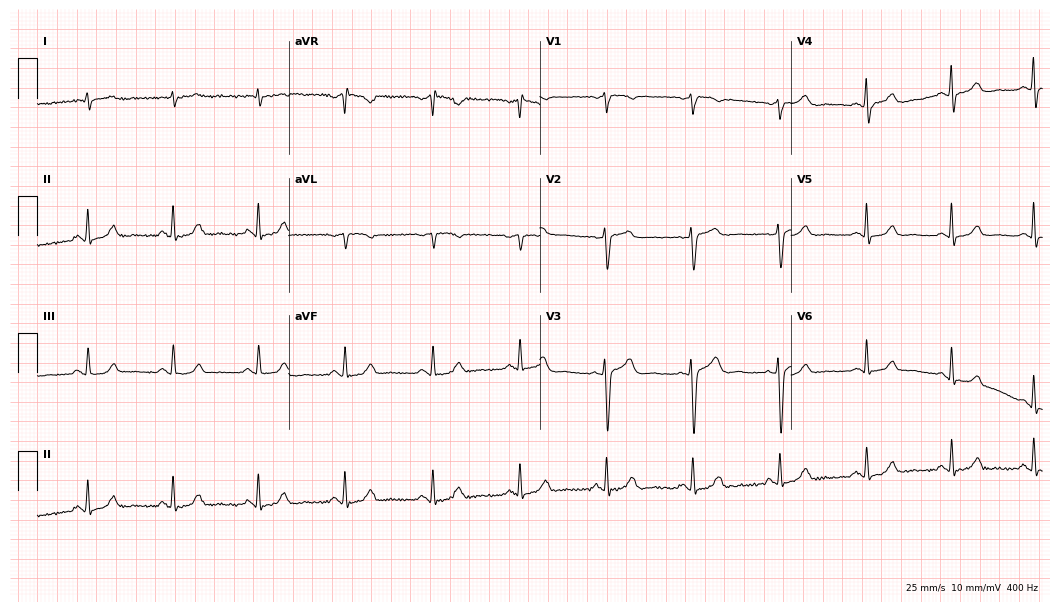
12-lead ECG from a 57-year-old male patient. Recorded interpretation: within normal limits.